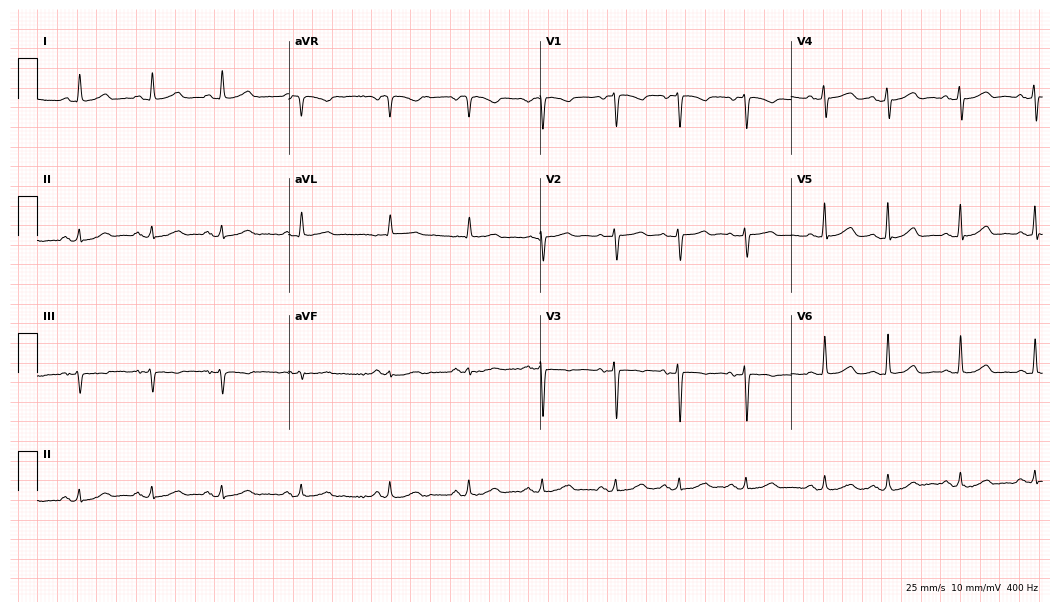
12-lead ECG from a woman, 76 years old. Labelled as a normal ECG.